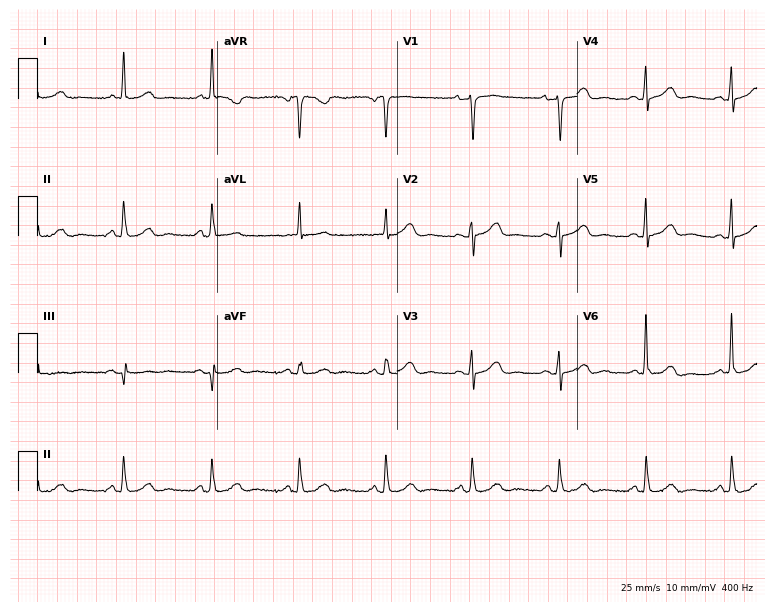
Resting 12-lead electrocardiogram (7.3-second recording at 400 Hz). Patient: a female, 64 years old. Read as a normal ECG.